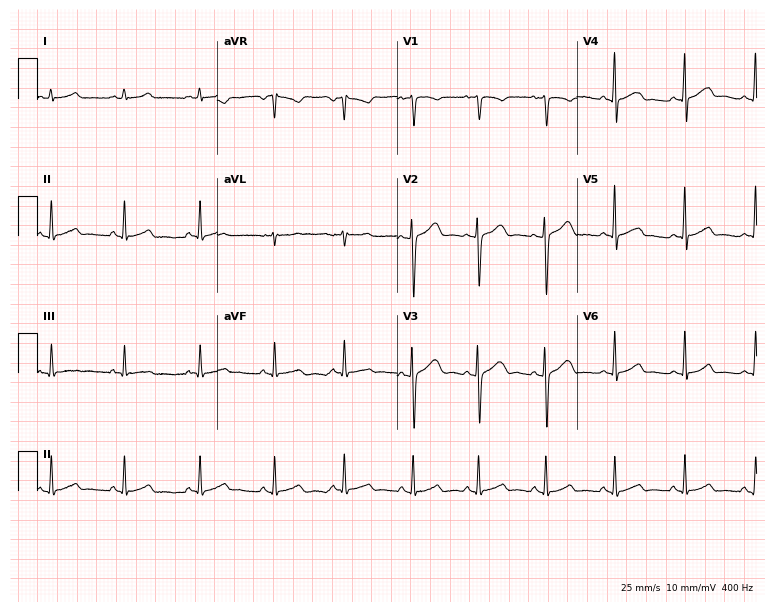
Electrocardiogram (7.3-second recording at 400 Hz), a female patient, 22 years old. Overall reading on record: normal ECG.